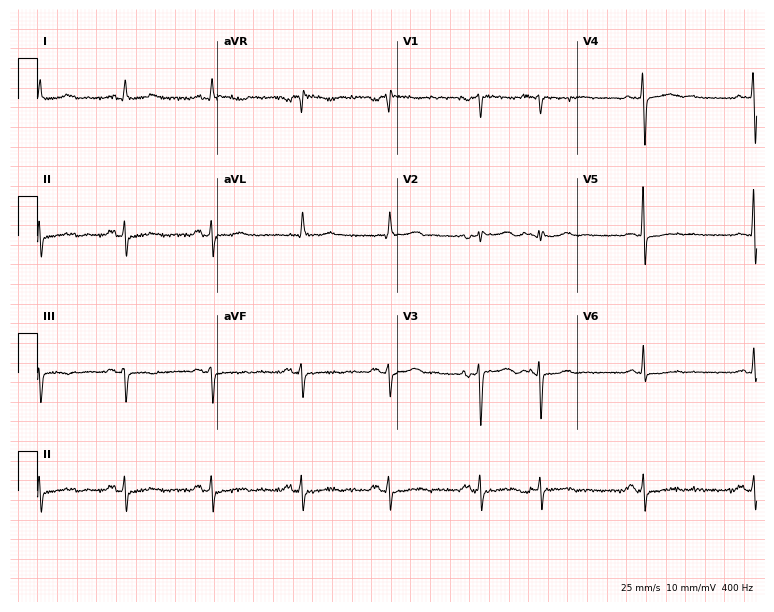
ECG (7.3-second recording at 400 Hz) — a 56-year-old woman. Screened for six findings — first-degree AV block, right bundle branch block, left bundle branch block, sinus bradycardia, atrial fibrillation, sinus tachycardia — none is recorded. Other findings, if any, are not listed.